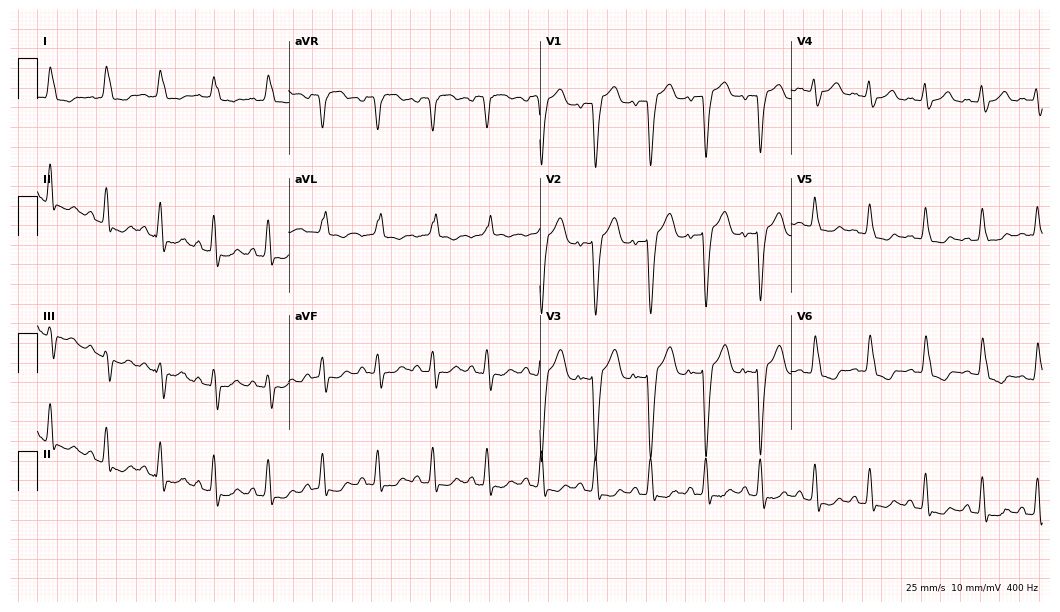
Resting 12-lead electrocardiogram (10.2-second recording at 400 Hz). Patient: a female, 80 years old. The tracing shows sinus tachycardia (a sinus rate of 100 beats per minute or more).